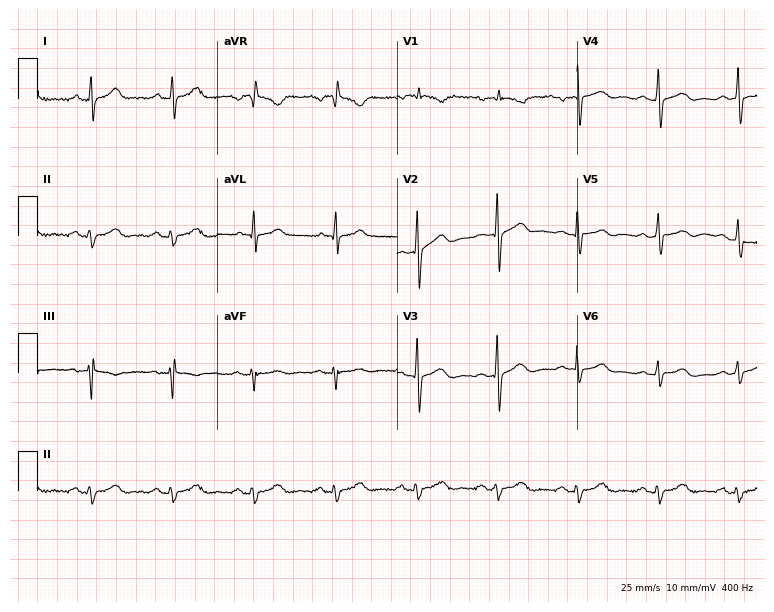
Electrocardiogram, a 48-year-old man. Of the six screened findings (first-degree AV block, right bundle branch block (RBBB), left bundle branch block (LBBB), sinus bradycardia, atrial fibrillation (AF), sinus tachycardia), none is recorded. Other findings, if any, are not listed.